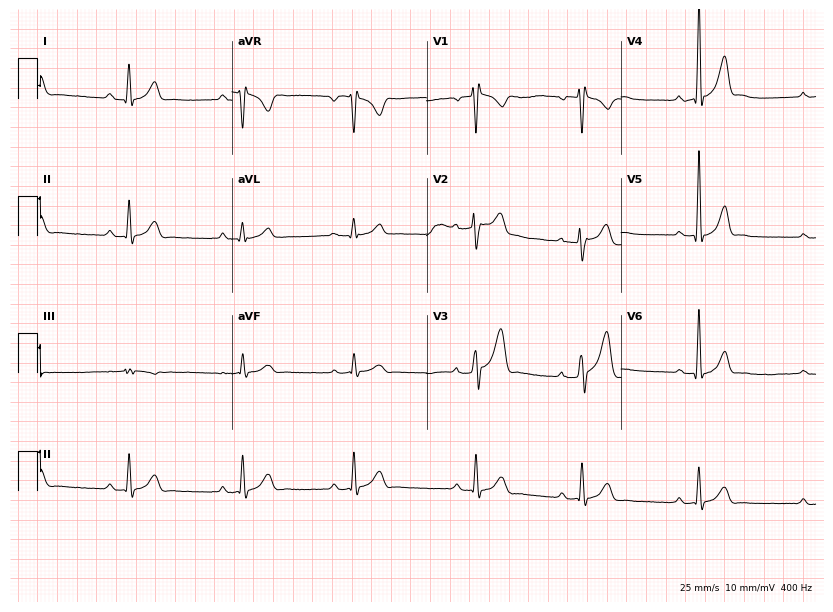
Standard 12-lead ECG recorded from a man, 23 years old. Read as a normal ECG.